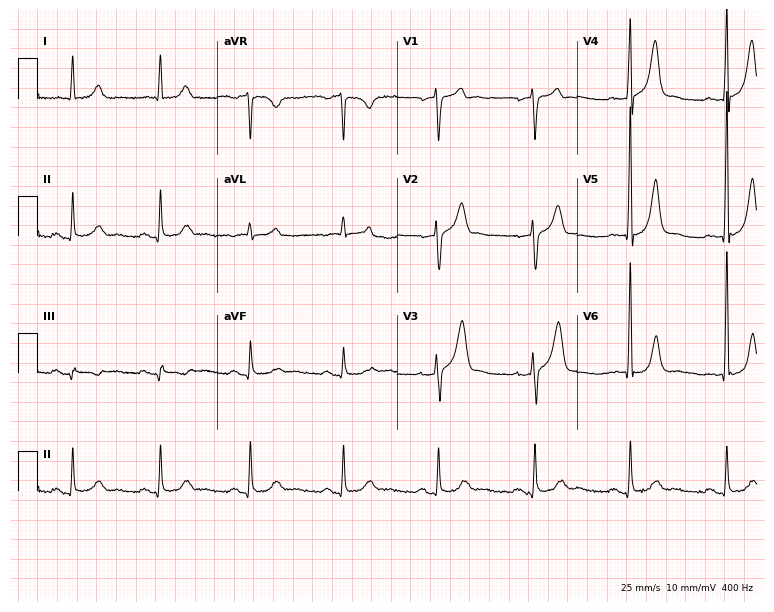
Standard 12-lead ECG recorded from a male, 66 years old. Read as a normal ECG.